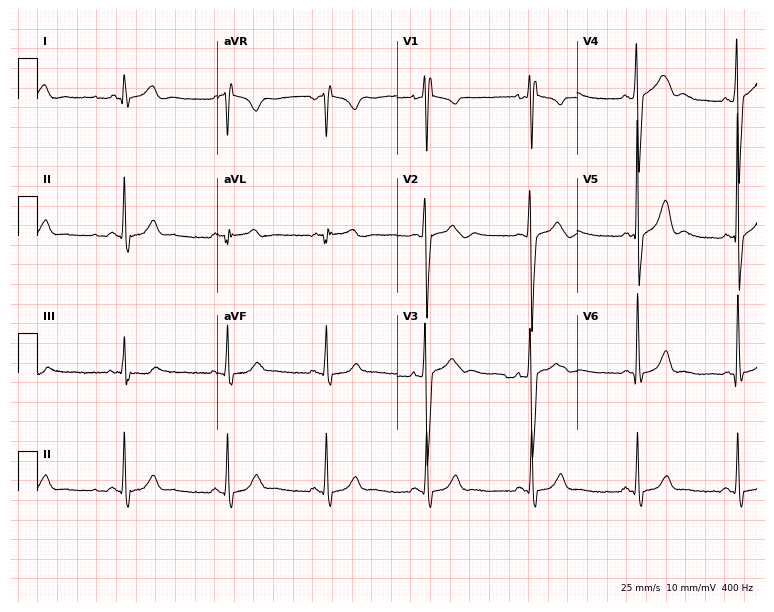
ECG — a man, 17 years old. Screened for six findings — first-degree AV block, right bundle branch block, left bundle branch block, sinus bradycardia, atrial fibrillation, sinus tachycardia — none is recorded.